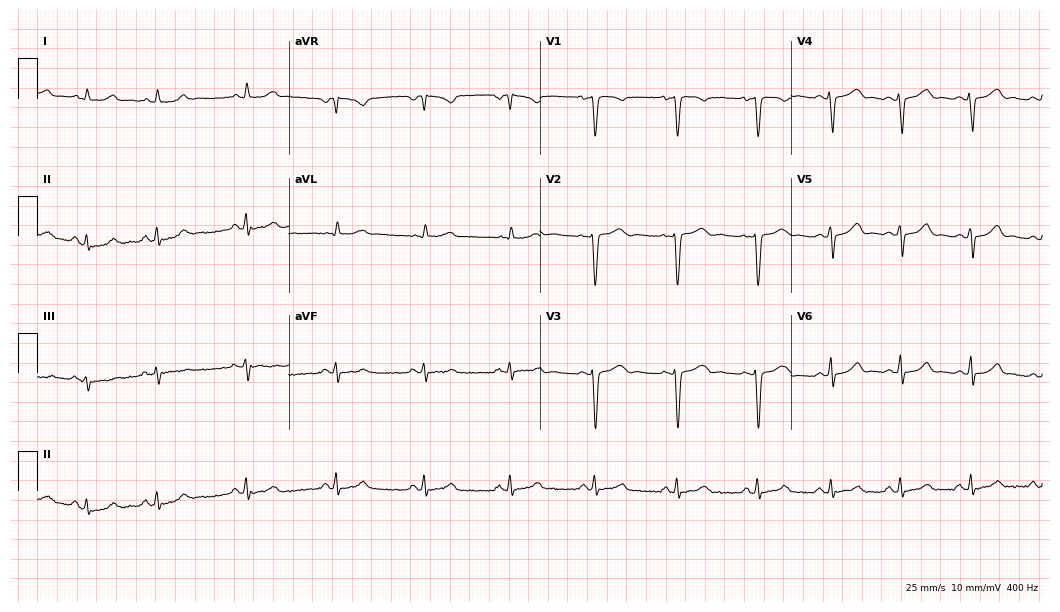
Electrocardiogram (10.2-second recording at 400 Hz), a female, 21 years old. Of the six screened findings (first-degree AV block, right bundle branch block, left bundle branch block, sinus bradycardia, atrial fibrillation, sinus tachycardia), none is recorded.